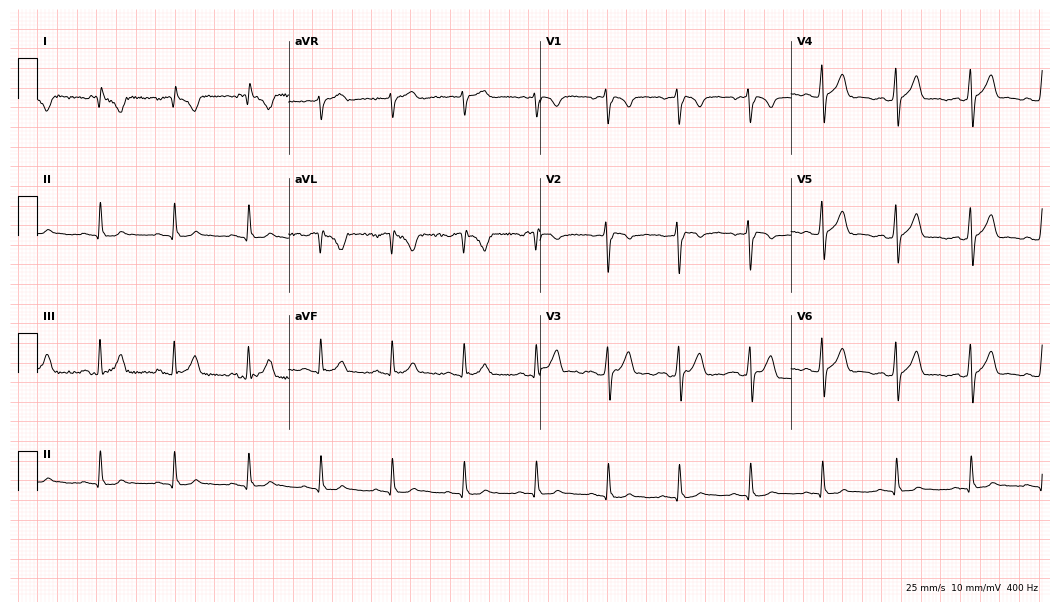
12-lead ECG from a man, 18 years old (10.2-second recording at 400 Hz). No first-degree AV block, right bundle branch block, left bundle branch block, sinus bradycardia, atrial fibrillation or sinus tachycardia recorded for this tracing.